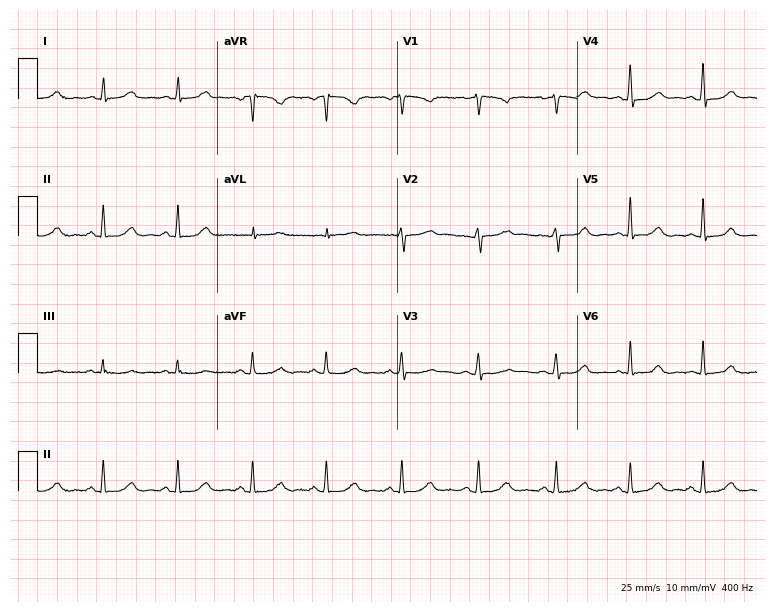
12-lead ECG from a 43-year-old woman. Labelled as a normal ECG.